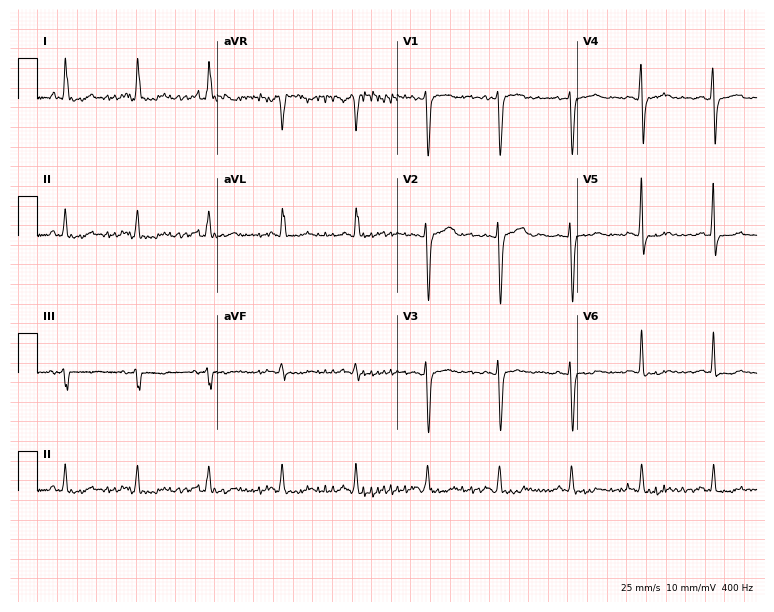
ECG (7.3-second recording at 400 Hz) — a female patient, 35 years old. Screened for six findings — first-degree AV block, right bundle branch block, left bundle branch block, sinus bradycardia, atrial fibrillation, sinus tachycardia — none is recorded. Only these six findings were labelled.